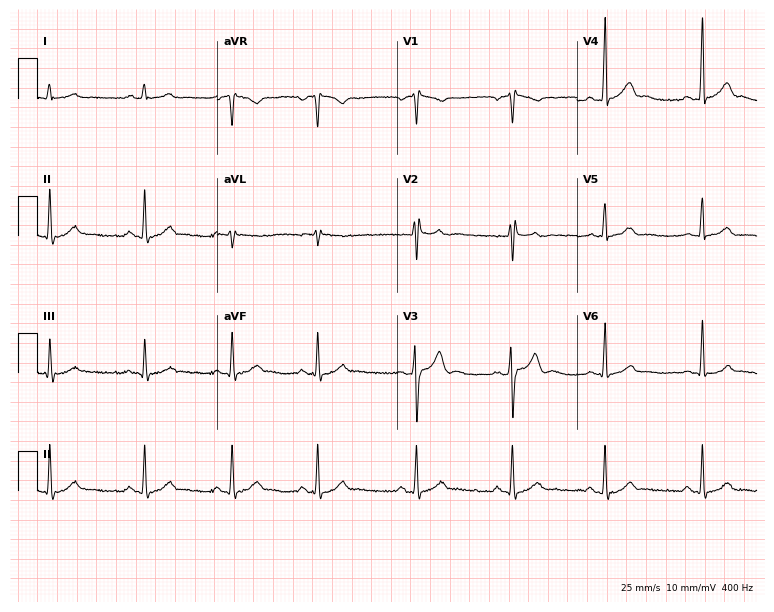
Standard 12-lead ECG recorded from a male, 21 years old. None of these six findings is recorded: first-degree AV block, right bundle branch block, left bundle branch block, sinus bradycardia, atrial fibrillation, sinus tachycardia. Other findings, if any, are not listed.